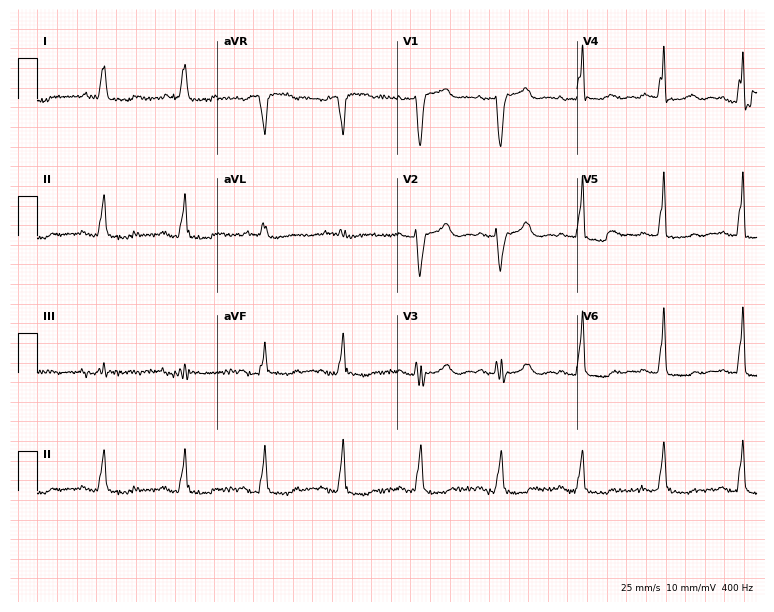
Standard 12-lead ECG recorded from a woman, 80 years old (7.3-second recording at 400 Hz). The tracing shows left bundle branch block (LBBB).